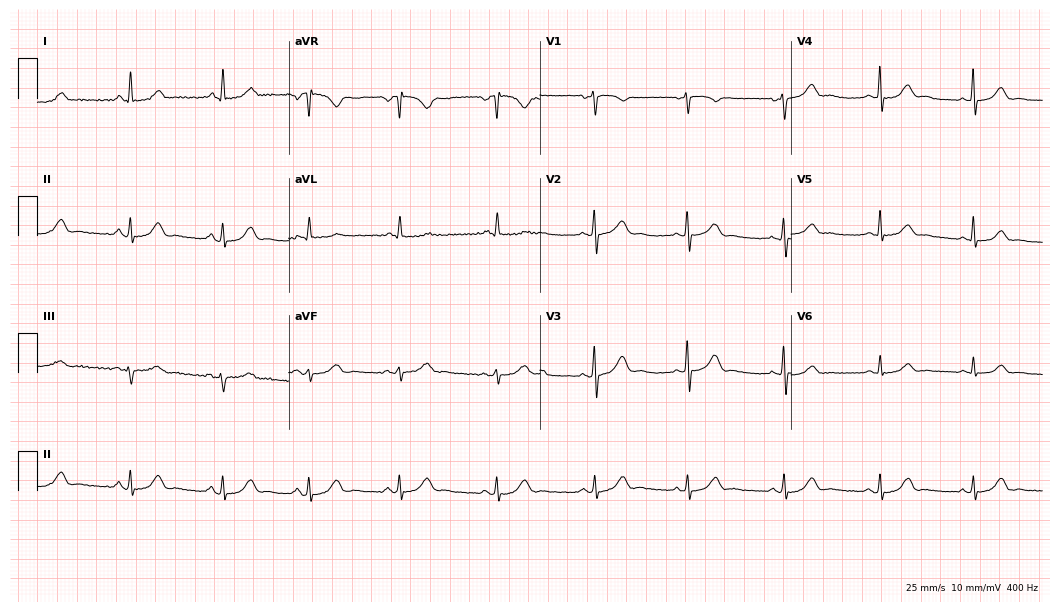
Standard 12-lead ECG recorded from a 48-year-old female patient (10.2-second recording at 400 Hz). Read as a normal ECG.